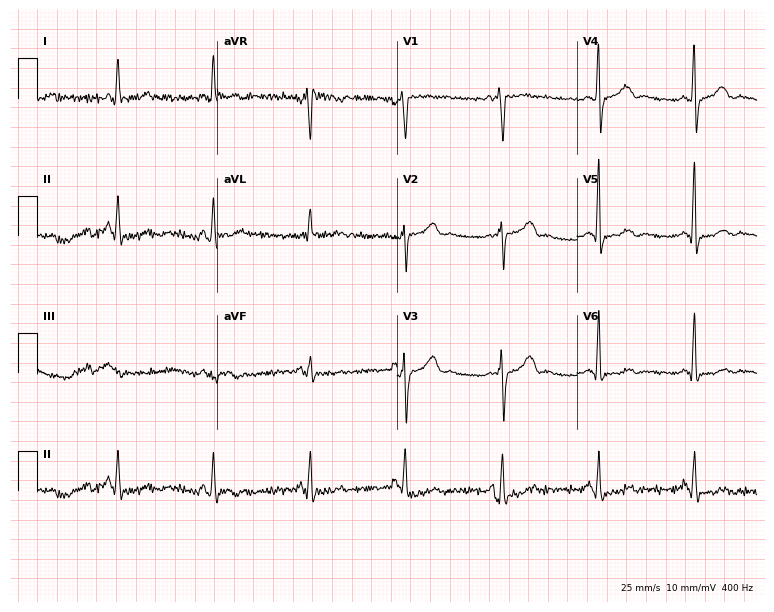
12-lead ECG from a 42-year-old female patient. No first-degree AV block, right bundle branch block (RBBB), left bundle branch block (LBBB), sinus bradycardia, atrial fibrillation (AF) or sinus tachycardia recorded for this tracing. Other findings, if any, are not listed.